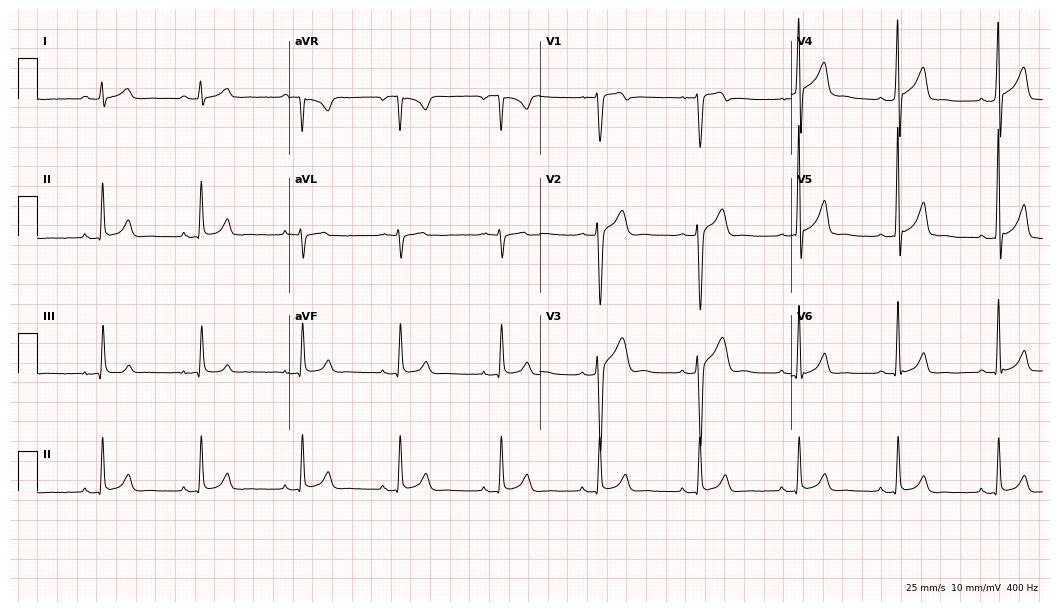
12-lead ECG (10.2-second recording at 400 Hz) from a 28-year-old man. Labelled as a normal ECG.